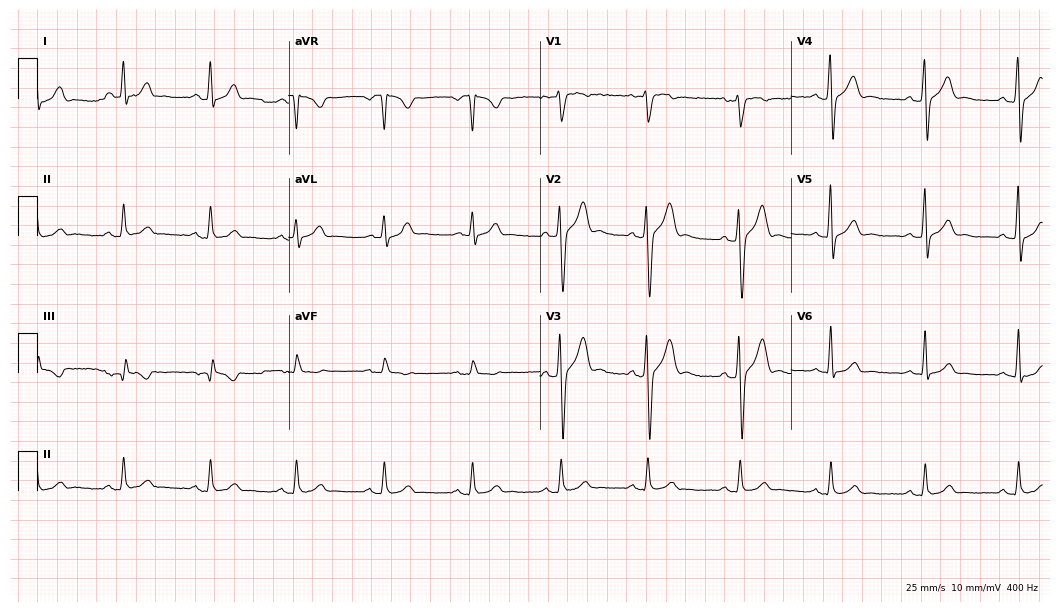
Standard 12-lead ECG recorded from a man, 35 years old (10.2-second recording at 400 Hz). Read as a normal ECG.